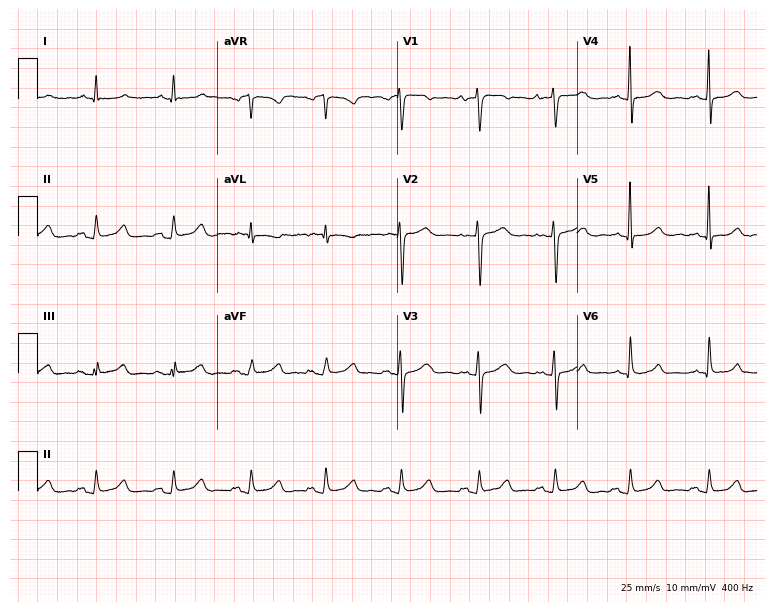
Standard 12-lead ECG recorded from a woman, 51 years old (7.3-second recording at 400 Hz). None of these six findings is recorded: first-degree AV block, right bundle branch block, left bundle branch block, sinus bradycardia, atrial fibrillation, sinus tachycardia. Only these six findings were labelled.